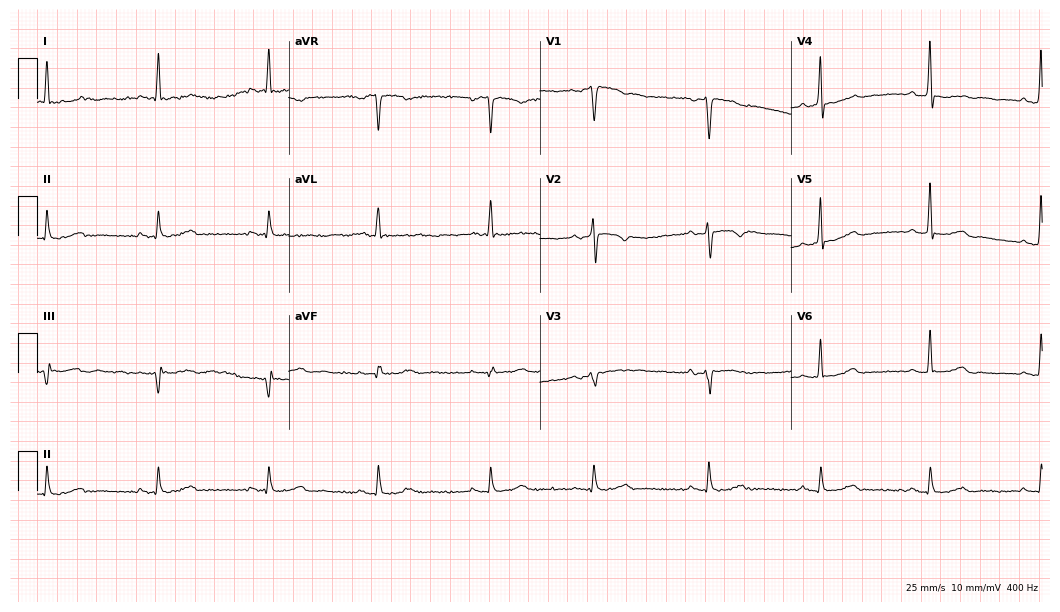
Resting 12-lead electrocardiogram (10.2-second recording at 400 Hz). Patient: a man, 67 years old. Read as a normal ECG.